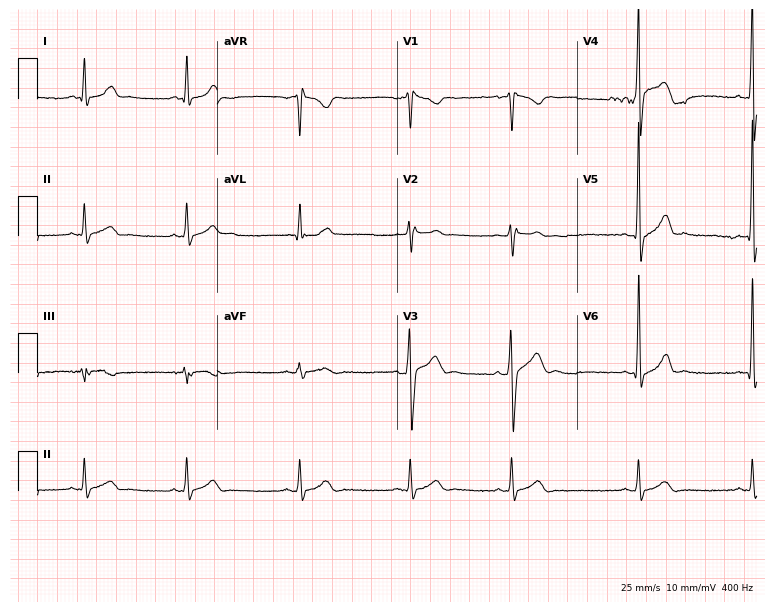
Standard 12-lead ECG recorded from a male, 30 years old (7.3-second recording at 400 Hz). None of these six findings is recorded: first-degree AV block, right bundle branch block, left bundle branch block, sinus bradycardia, atrial fibrillation, sinus tachycardia.